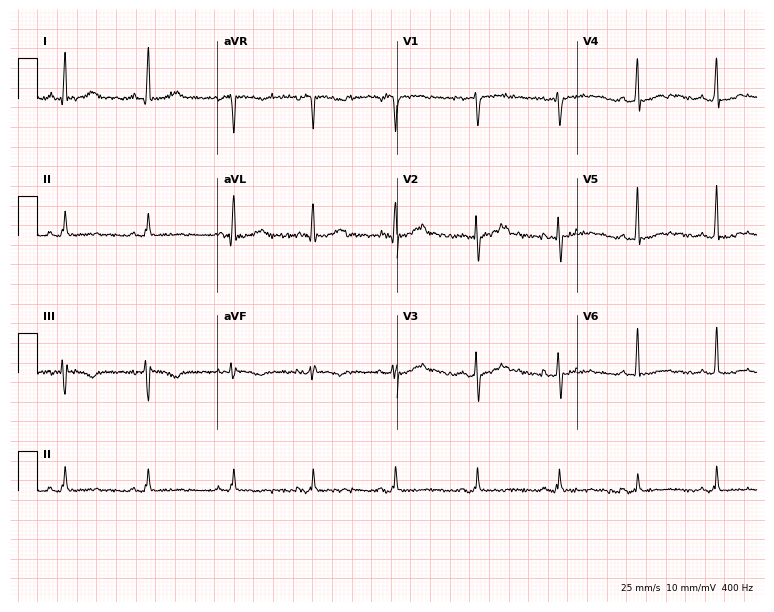
12-lead ECG from a female patient, 51 years old. No first-degree AV block, right bundle branch block (RBBB), left bundle branch block (LBBB), sinus bradycardia, atrial fibrillation (AF) or sinus tachycardia recorded for this tracing. Only these six findings were labelled.